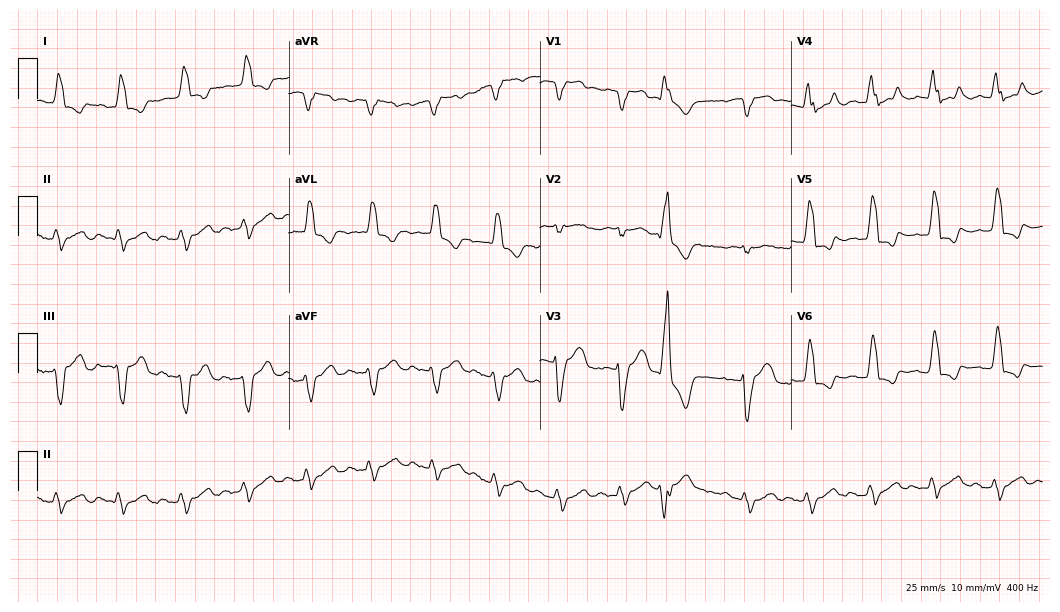
Standard 12-lead ECG recorded from a female patient, 78 years old. None of these six findings is recorded: first-degree AV block, right bundle branch block (RBBB), left bundle branch block (LBBB), sinus bradycardia, atrial fibrillation (AF), sinus tachycardia. Only these six findings were labelled.